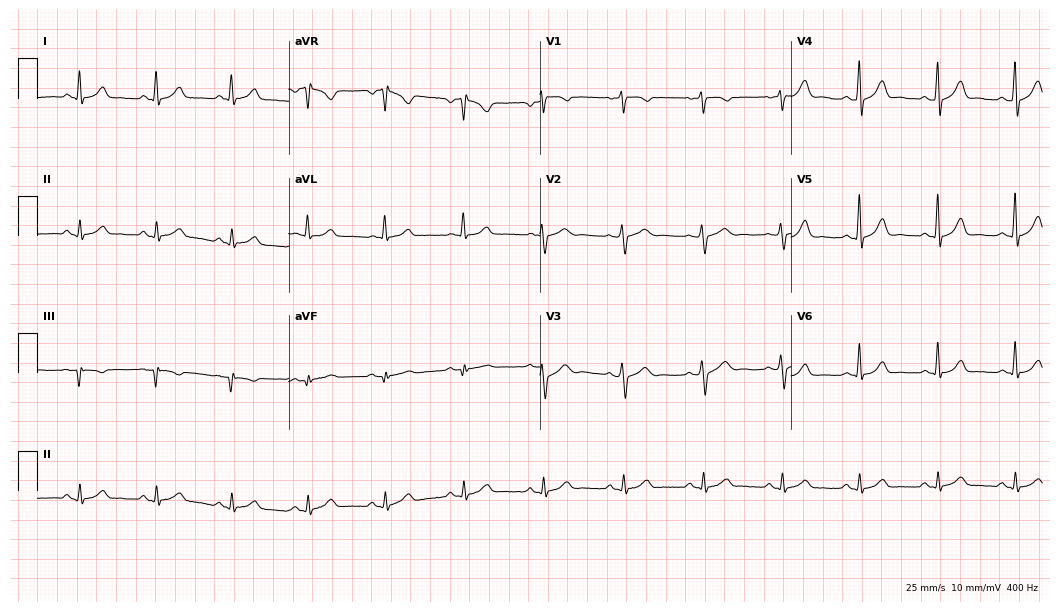
Standard 12-lead ECG recorded from a man, 46 years old (10.2-second recording at 400 Hz). Read as a normal ECG.